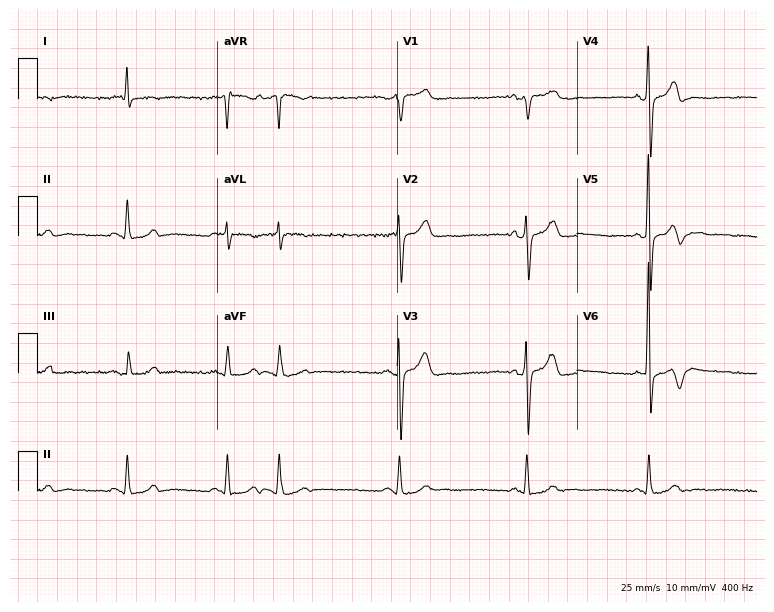
Resting 12-lead electrocardiogram. Patient: a man, 74 years old. None of these six findings is recorded: first-degree AV block, right bundle branch block (RBBB), left bundle branch block (LBBB), sinus bradycardia, atrial fibrillation (AF), sinus tachycardia. Findings outside these six are not listed.